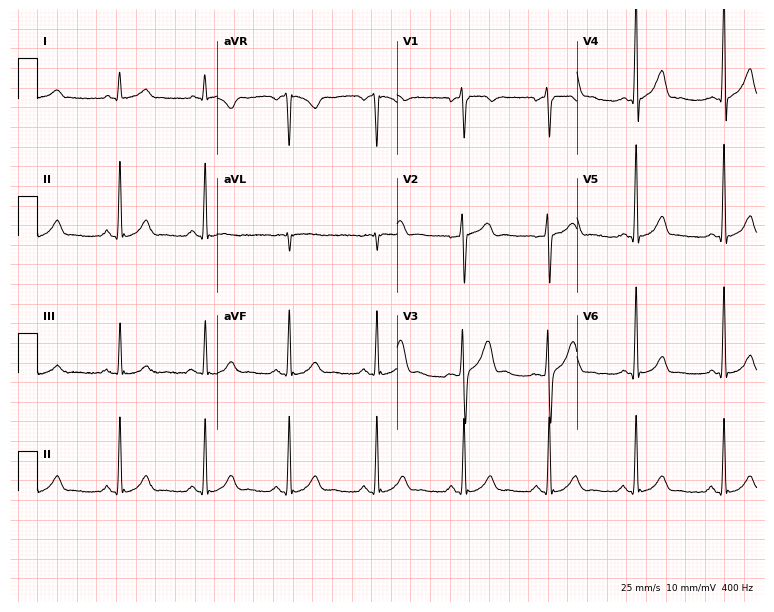
ECG (7.3-second recording at 400 Hz) — a 35-year-old male. Labelled as a normal ECG.